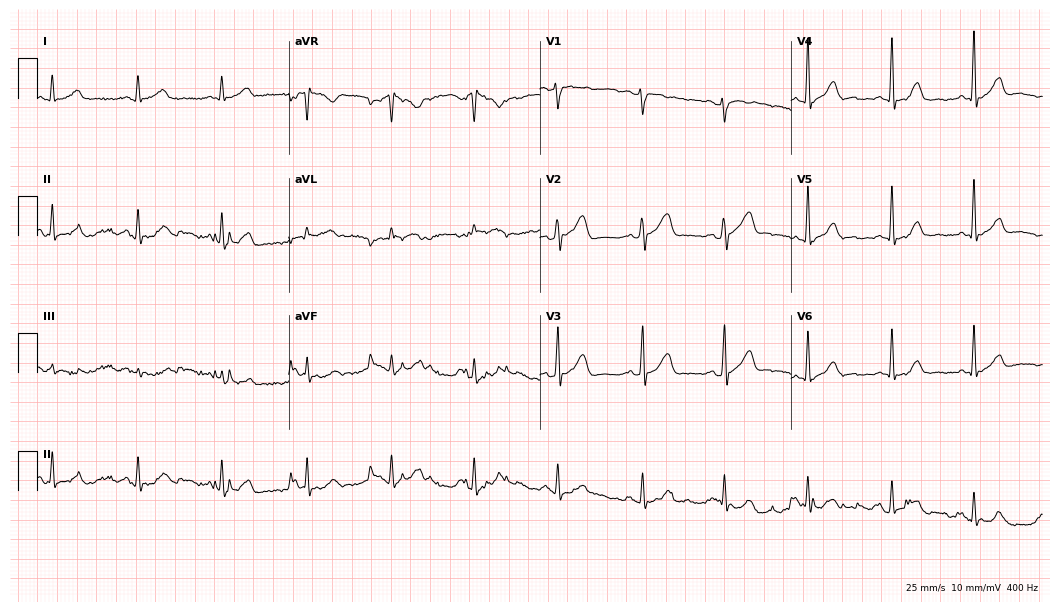
Resting 12-lead electrocardiogram. Patient: a 56-year-old female. Read as a normal ECG.